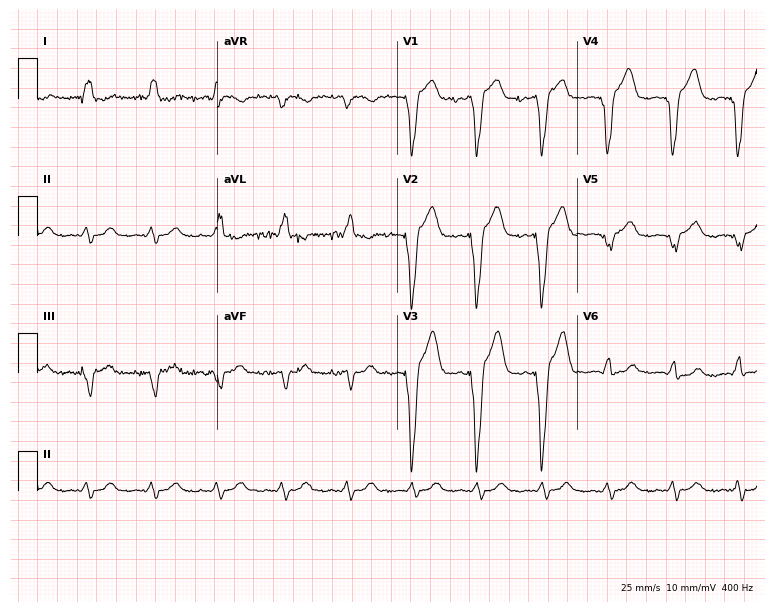
12-lead ECG from a 75-year-old female. No first-degree AV block, right bundle branch block, left bundle branch block, sinus bradycardia, atrial fibrillation or sinus tachycardia recorded for this tracing.